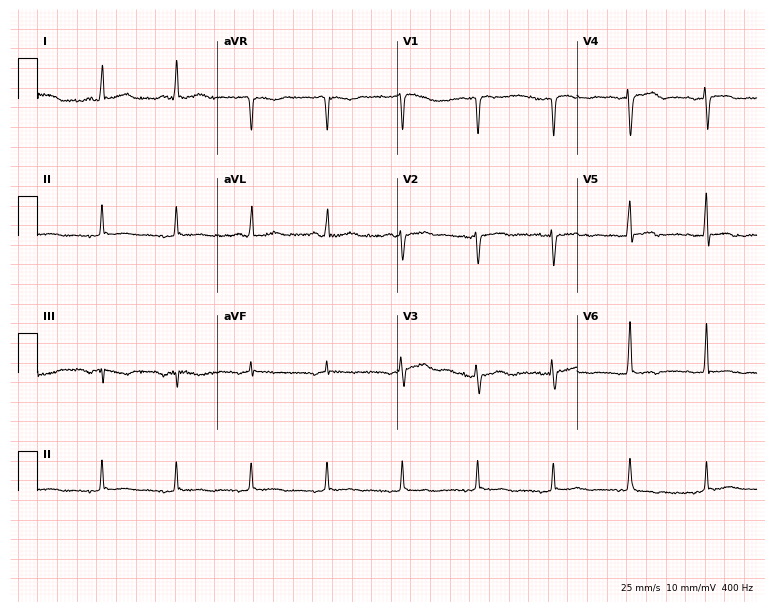
Standard 12-lead ECG recorded from a 55-year-old female patient. None of these six findings is recorded: first-degree AV block, right bundle branch block, left bundle branch block, sinus bradycardia, atrial fibrillation, sinus tachycardia. Only these six findings were labelled.